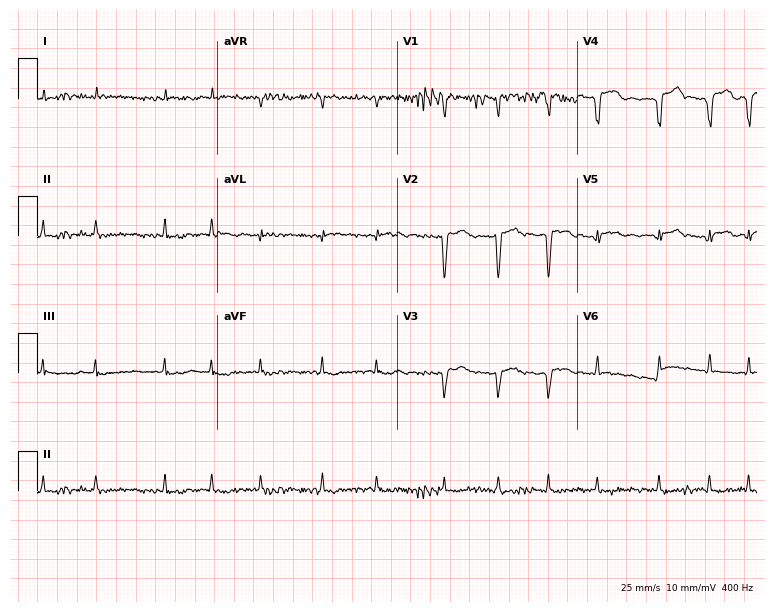
12-lead ECG (7.3-second recording at 400 Hz) from a 69-year-old male patient. Findings include atrial fibrillation (AF).